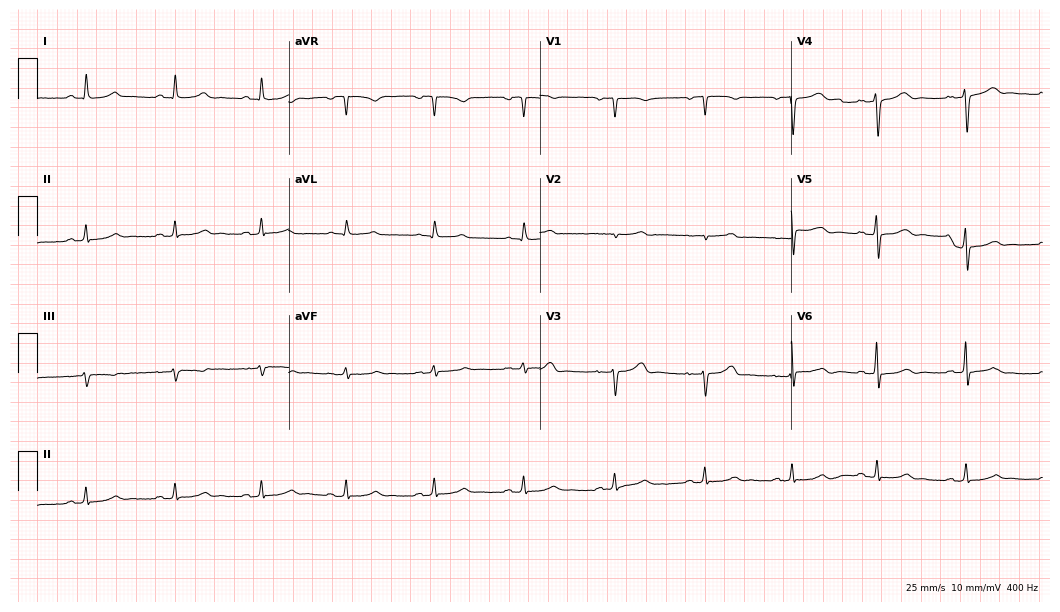
ECG (10.2-second recording at 400 Hz) — a 48-year-old woman. Screened for six findings — first-degree AV block, right bundle branch block, left bundle branch block, sinus bradycardia, atrial fibrillation, sinus tachycardia — none is recorded.